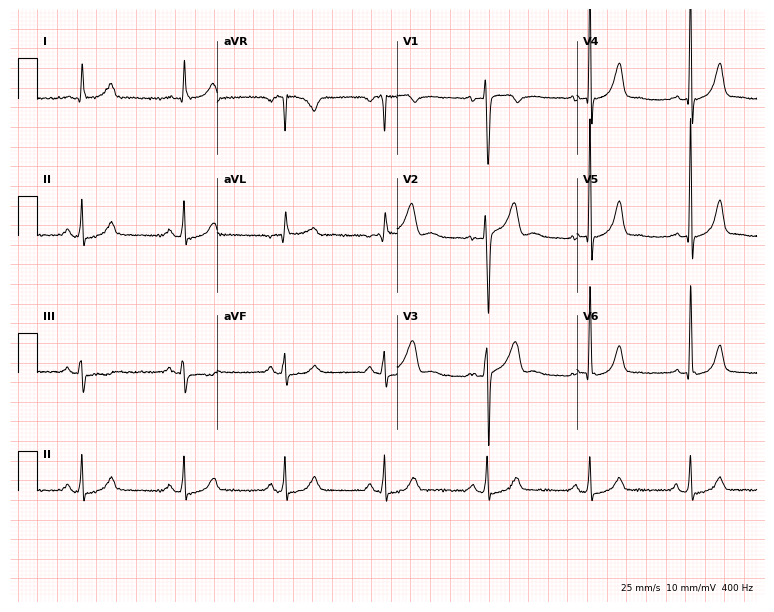
Resting 12-lead electrocardiogram (7.3-second recording at 400 Hz). Patient: a male, 58 years old. Read as a normal ECG.